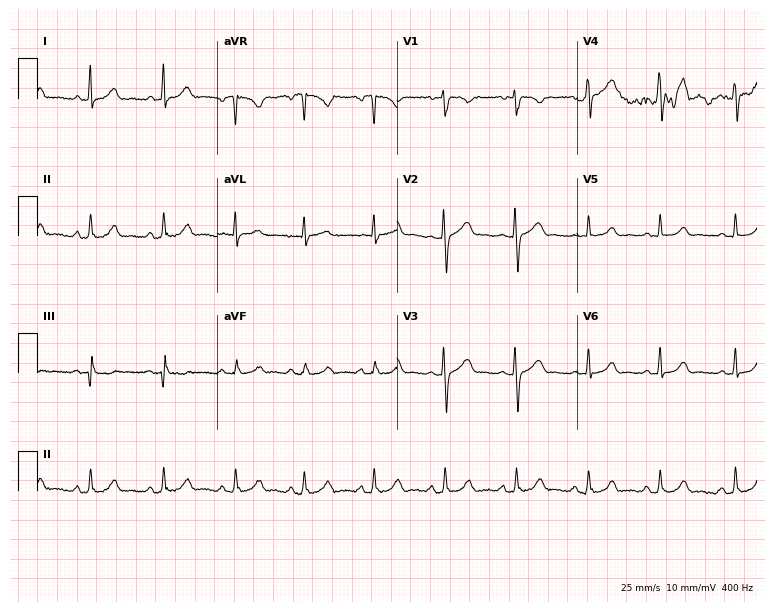
12-lead ECG (7.3-second recording at 400 Hz) from a 22-year-old female. Labelled as a normal ECG.